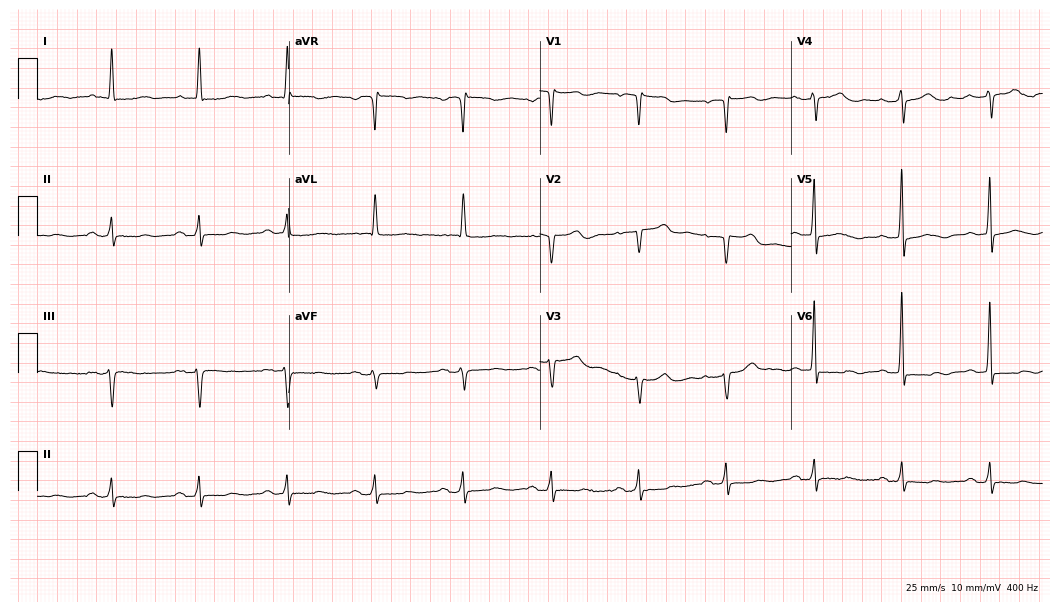
Standard 12-lead ECG recorded from a woman, 84 years old (10.2-second recording at 400 Hz). None of these six findings is recorded: first-degree AV block, right bundle branch block, left bundle branch block, sinus bradycardia, atrial fibrillation, sinus tachycardia.